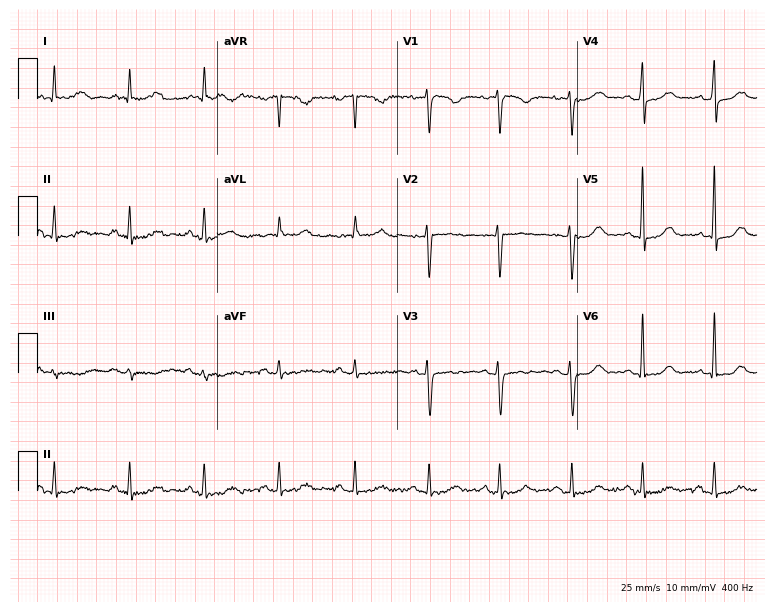
Standard 12-lead ECG recorded from a 44-year-old female patient (7.3-second recording at 400 Hz). Read as a normal ECG.